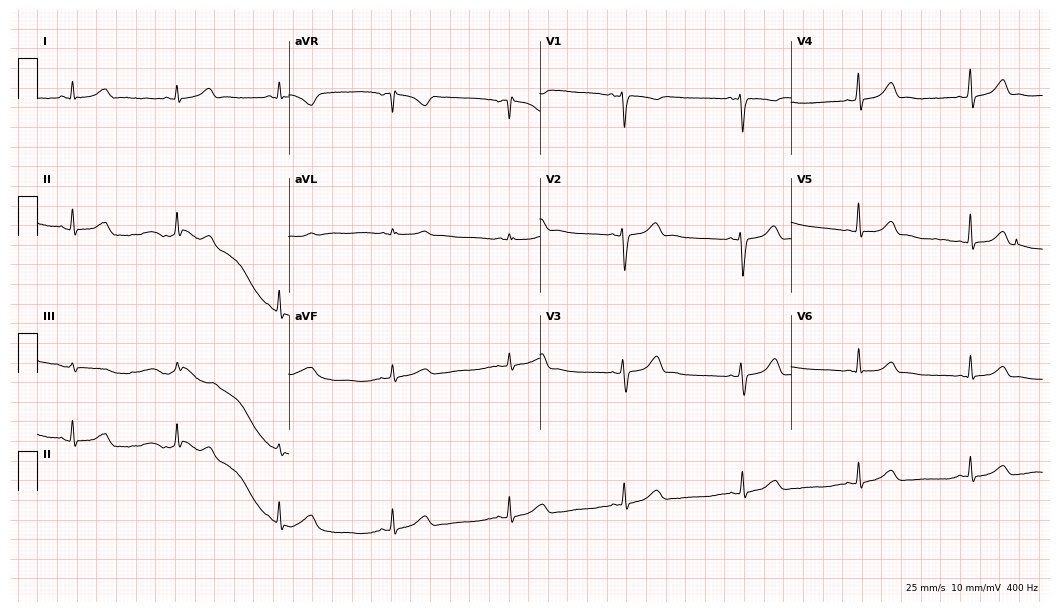
Resting 12-lead electrocardiogram (10.2-second recording at 400 Hz). Patient: a woman, 22 years old. Read as a normal ECG.